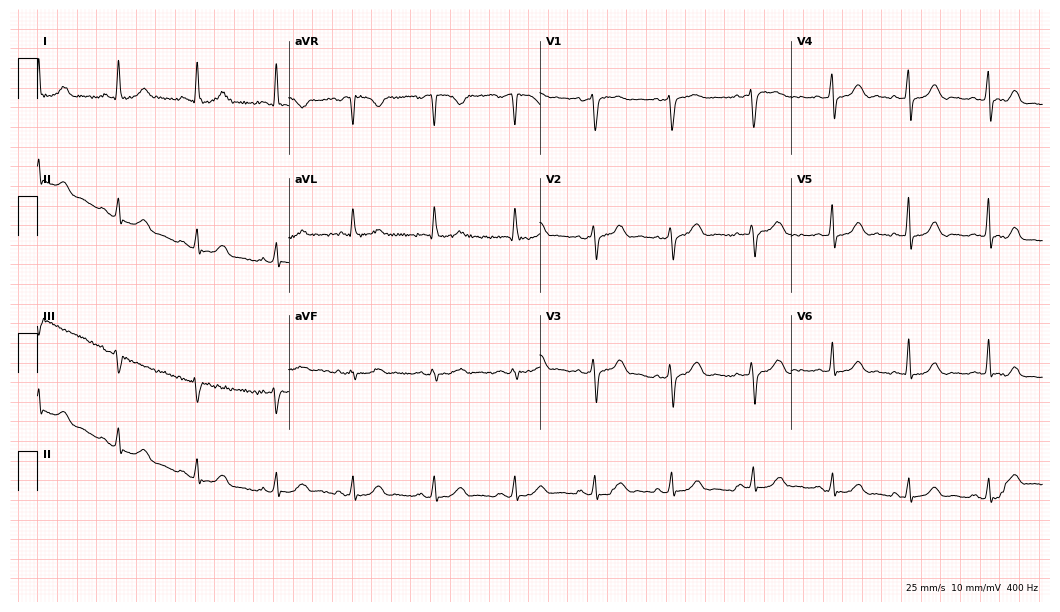
ECG (10.2-second recording at 400 Hz) — a 46-year-old female. Screened for six findings — first-degree AV block, right bundle branch block (RBBB), left bundle branch block (LBBB), sinus bradycardia, atrial fibrillation (AF), sinus tachycardia — none is recorded.